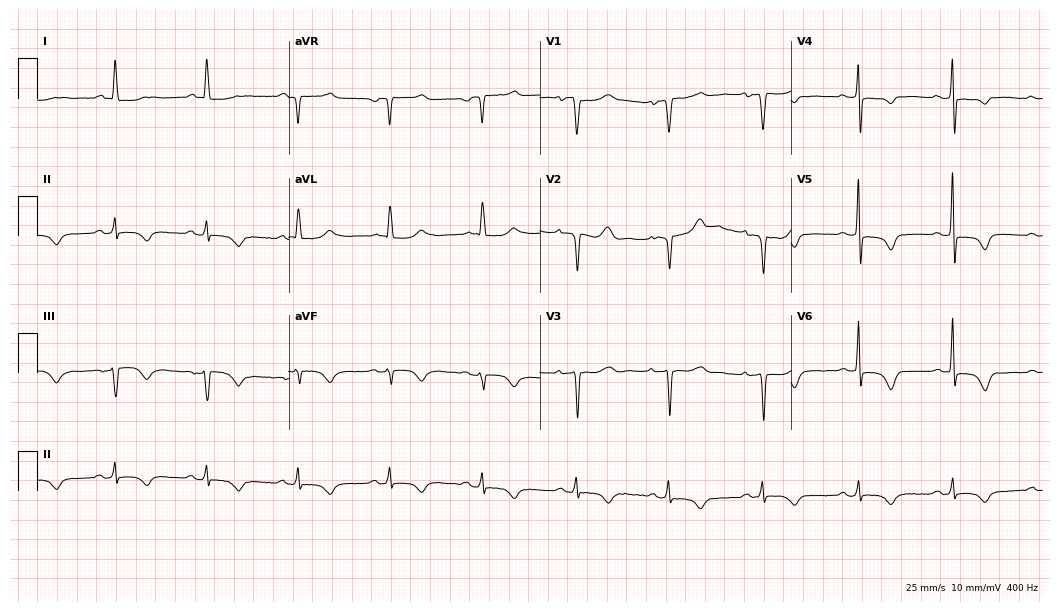
Electrocardiogram (10.2-second recording at 400 Hz), an 85-year-old female. Of the six screened findings (first-degree AV block, right bundle branch block (RBBB), left bundle branch block (LBBB), sinus bradycardia, atrial fibrillation (AF), sinus tachycardia), none is recorded.